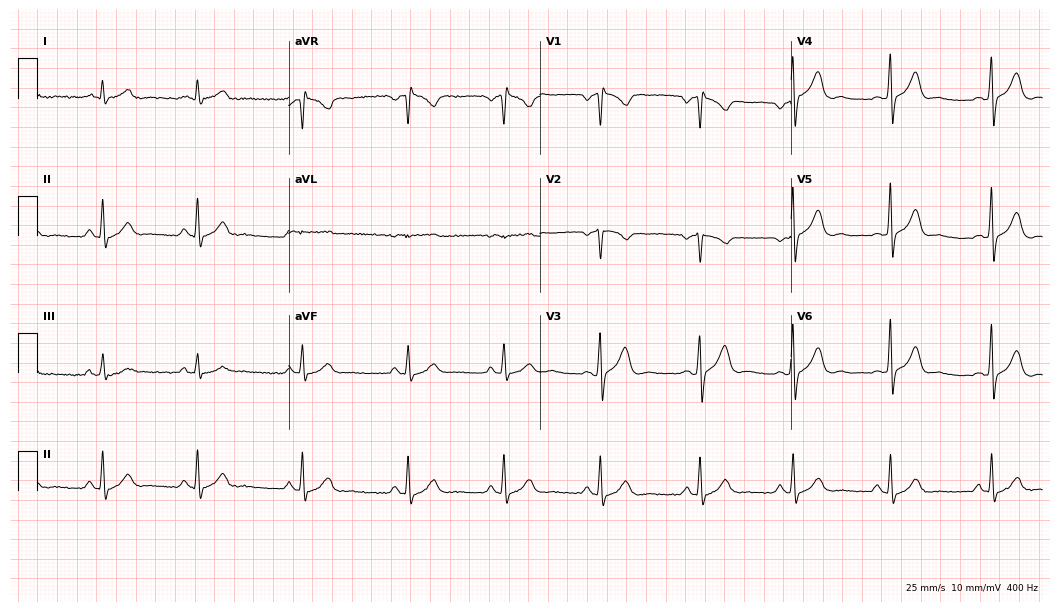
12-lead ECG from a 27-year-old man (10.2-second recording at 400 Hz). Recorded interpretation: within normal limits.